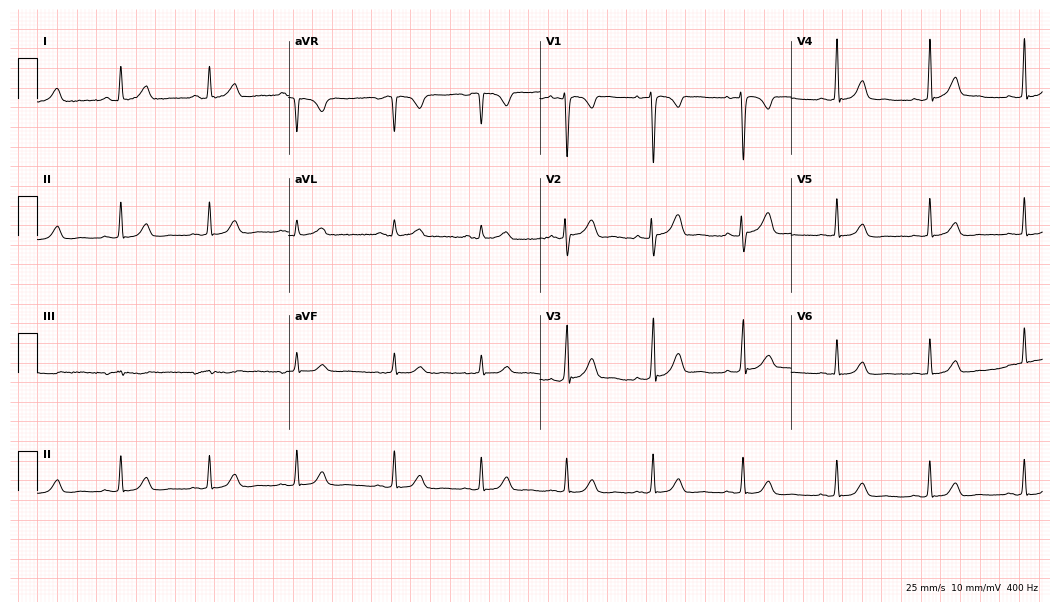
Standard 12-lead ECG recorded from a 27-year-old woman (10.2-second recording at 400 Hz). Read as a normal ECG.